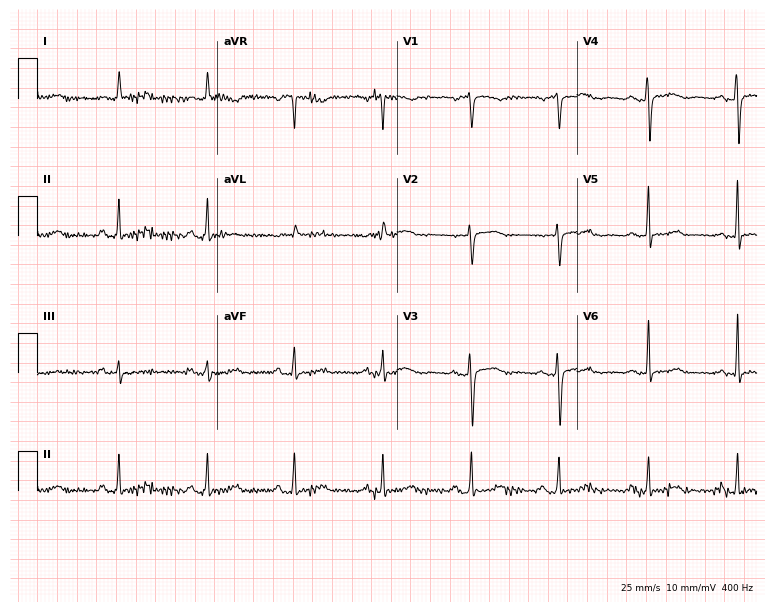
Resting 12-lead electrocardiogram. Patient: a 66-year-old woman. None of these six findings is recorded: first-degree AV block, right bundle branch block, left bundle branch block, sinus bradycardia, atrial fibrillation, sinus tachycardia.